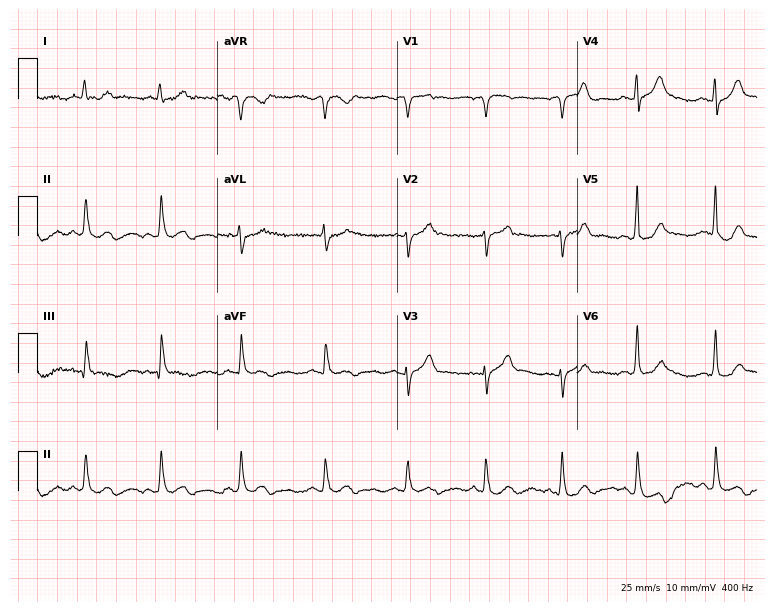
12-lead ECG (7.3-second recording at 400 Hz) from a woman, 69 years old. Findings include atrial fibrillation.